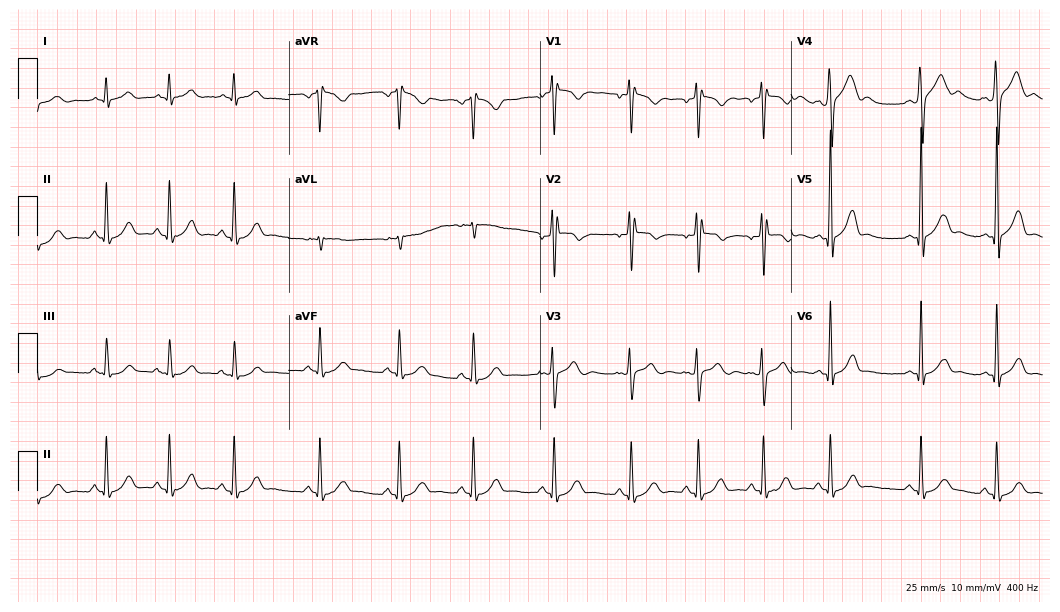
12-lead ECG (10.2-second recording at 400 Hz) from a 17-year-old male patient. Labelled as a normal ECG.